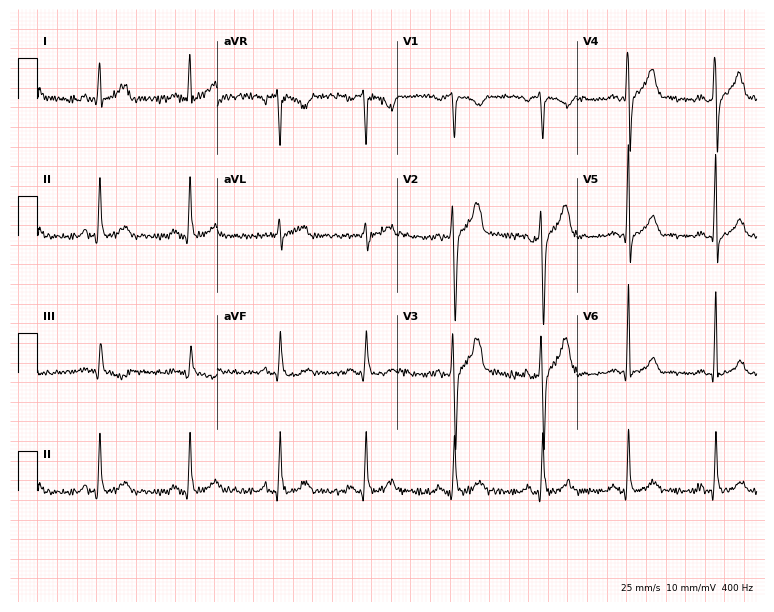
Resting 12-lead electrocardiogram. Patient: a woman, 33 years old. None of these six findings is recorded: first-degree AV block, right bundle branch block, left bundle branch block, sinus bradycardia, atrial fibrillation, sinus tachycardia.